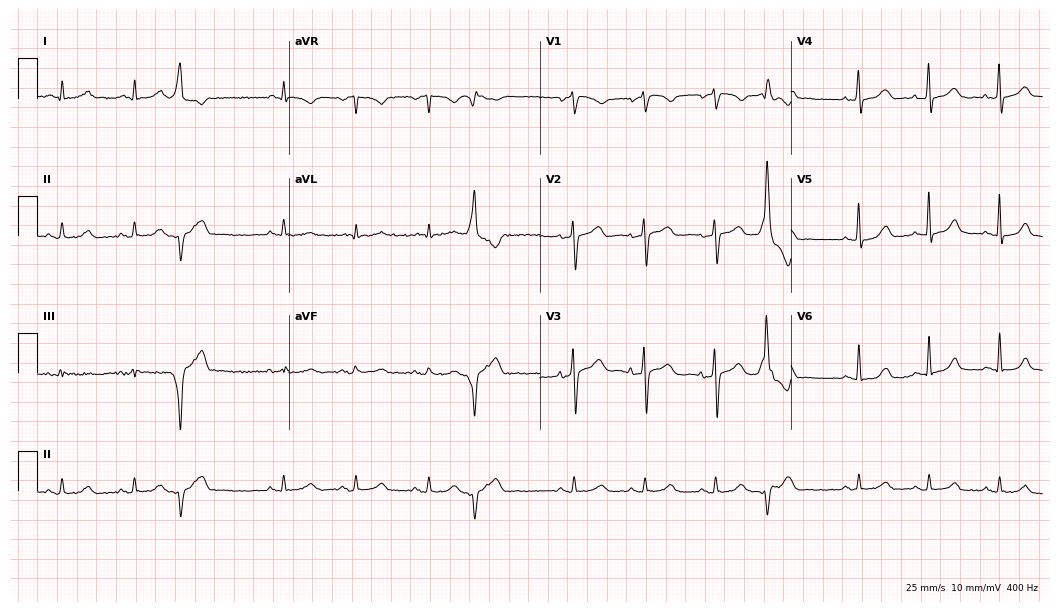
12-lead ECG from a 74-year-old male patient (10.2-second recording at 400 Hz). No first-degree AV block, right bundle branch block, left bundle branch block, sinus bradycardia, atrial fibrillation or sinus tachycardia recorded for this tracing.